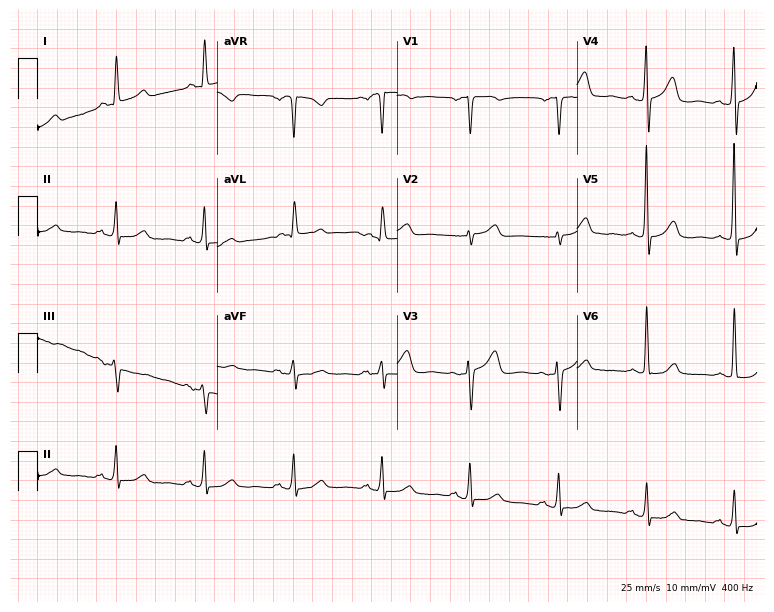
Standard 12-lead ECG recorded from a woman, 69 years old. None of these six findings is recorded: first-degree AV block, right bundle branch block (RBBB), left bundle branch block (LBBB), sinus bradycardia, atrial fibrillation (AF), sinus tachycardia.